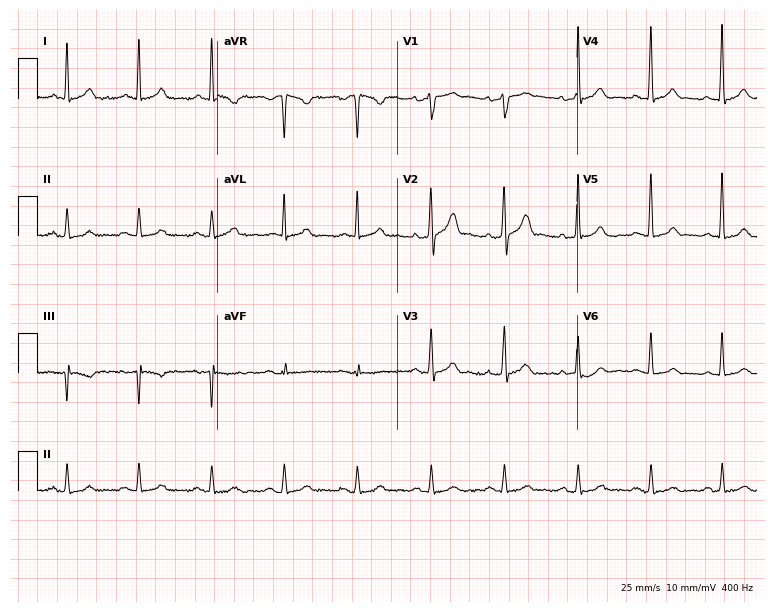
ECG — a 60-year-old male patient. Labelled as a normal ECG.